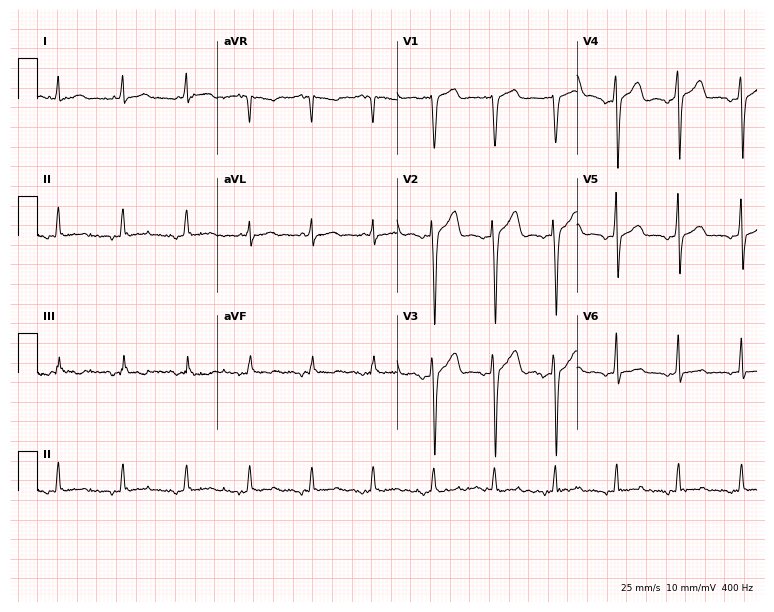
12-lead ECG from a male, 48 years old. Screened for six findings — first-degree AV block, right bundle branch block (RBBB), left bundle branch block (LBBB), sinus bradycardia, atrial fibrillation (AF), sinus tachycardia — none is recorded.